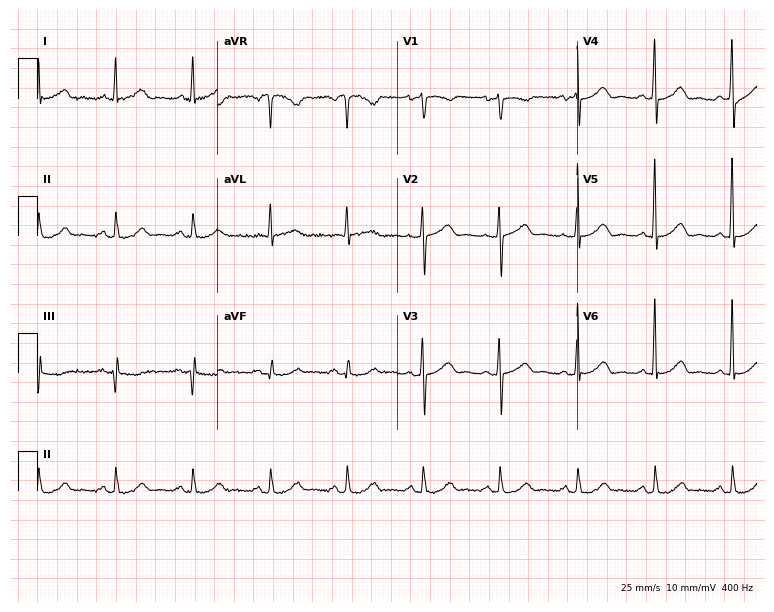
ECG — a woman, 65 years old. Screened for six findings — first-degree AV block, right bundle branch block (RBBB), left bundle branch block (LBBB), sinus bradycardia, atrial fibrillation (AF), sinus tachycardia — none is recorded.